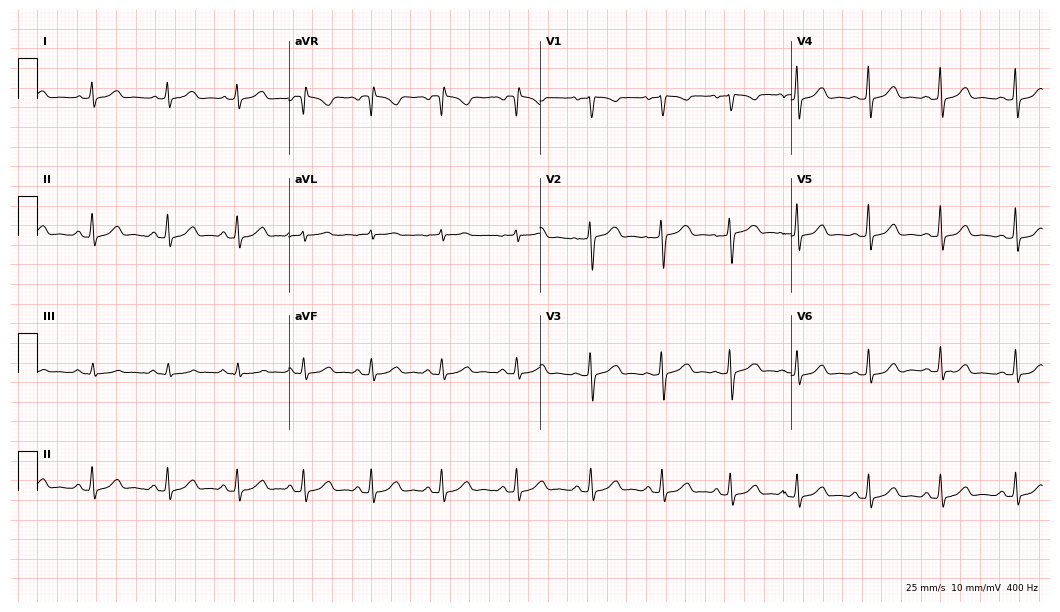
12-lead ECG from a woman, 33 years old (10.2-second recording at 400 Hz). Recorded interpretation: within normal limits.